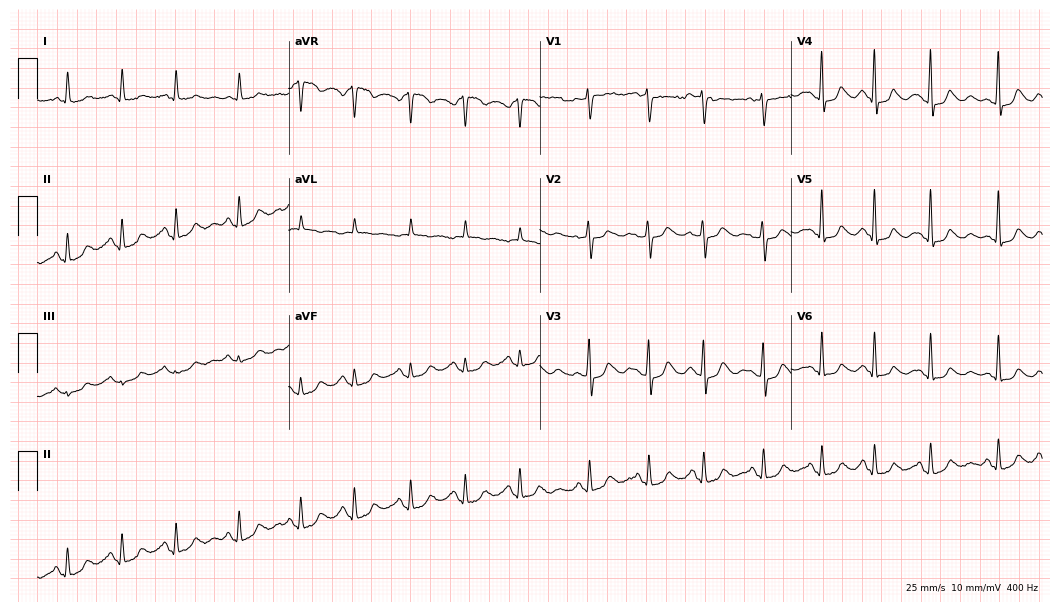
12-lead ECG from a woman, 68 years old. Screened for six findings — first-degree AV block, right bundle branch block, left bundle branch block, sinus bradycardia, atrial fibrillation, sinus tachycardia — none is recorded.